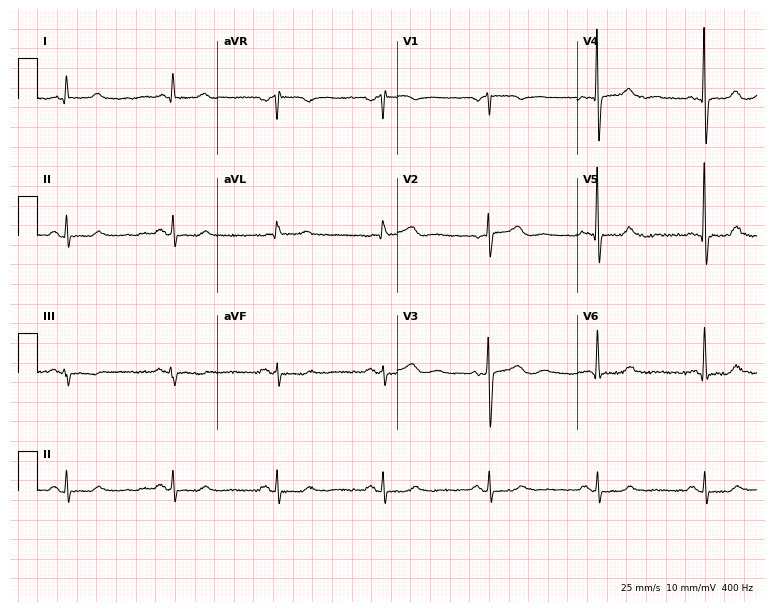
Standard 12-lead ECG recorded from a 71-year-old male patient (7.3-second recording at 400 Hz). None of these six findings is recorded: first-degree AV block, right bundle branch block (RBBB), left bundle branch block (LBBB), sinus bradycardia, atrial fibrillation (AF), sinus tachycardia.